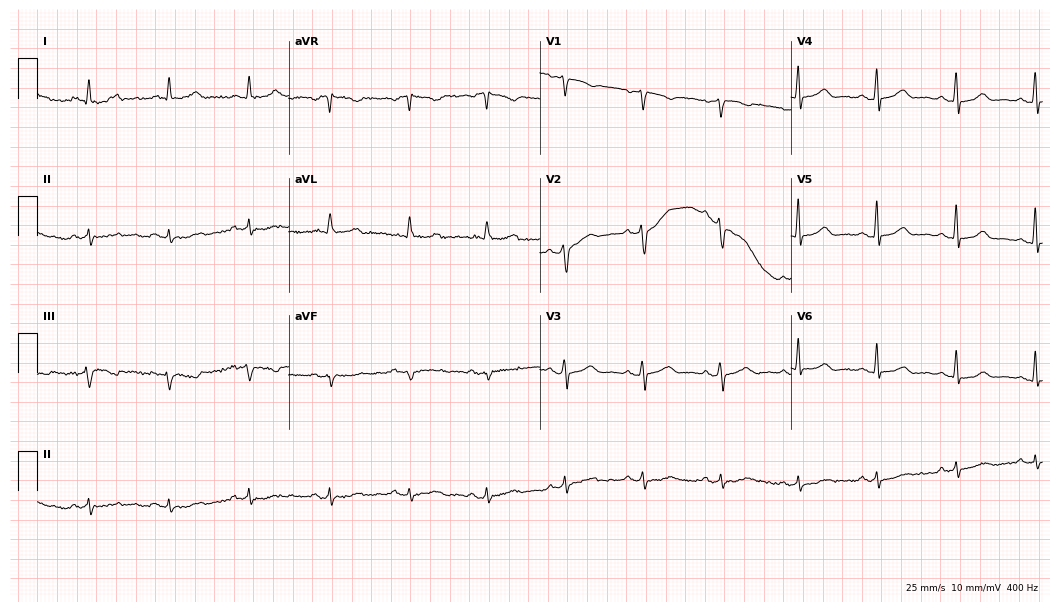
12-lead ECG from a 64-year-old female patient. No first-degree AV block, right bundle branch block, left bundle branch block, sinus bradycardia, atrial fibrillation or sinus tachycardia recorded for this tracing.